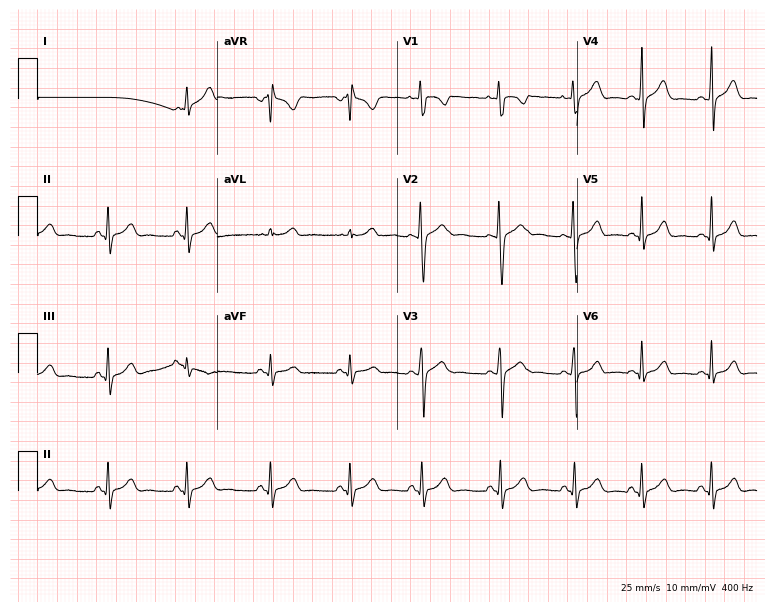
ECG — a woman, 18 years old. Screened for six findings — first-degree AV block, right bundle branch block, left bundle branch block, sinus bradycardia, atrial fibrillation, sinus tachycardia — none is recorded.